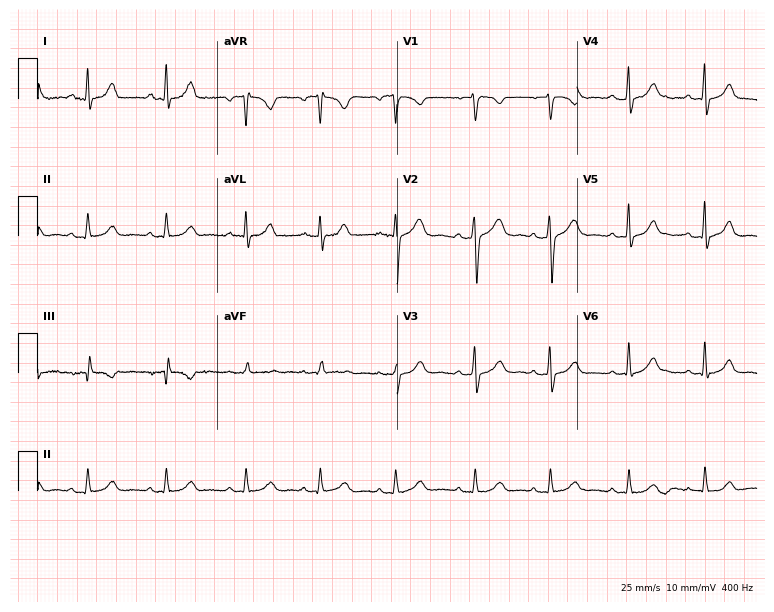
ECG — a 32-year-old female. Labelled as a normal ECG.